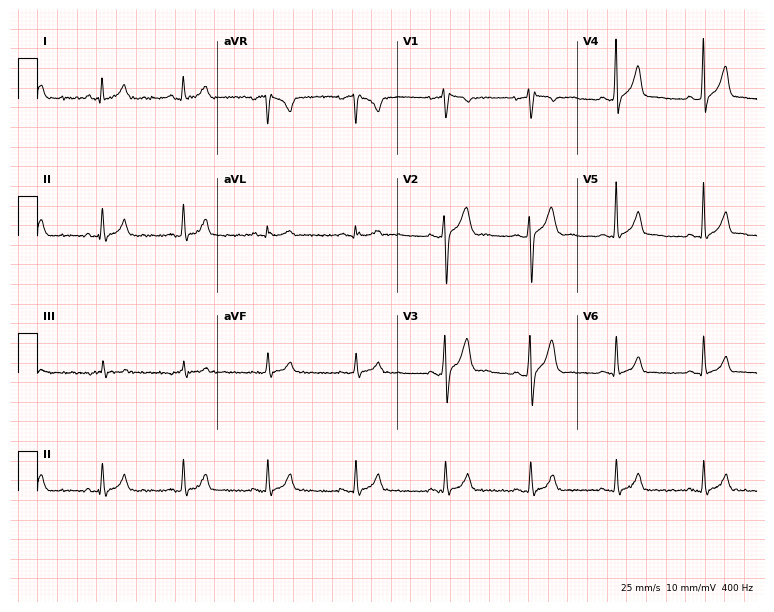
ECG — a 29-year-old man. Labelled as a normal ECG.